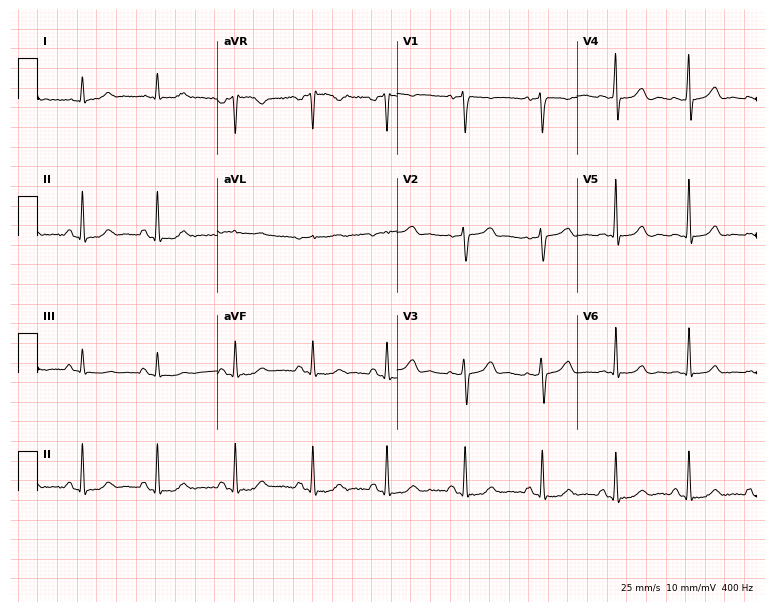
Standard 12-lead ECG recorded from a 57-year-old woman. None of these six findings is recorded: first-degree AV block, right bundle branch block, left bundle branch block, sinus bradycardia, atrial fibrillation, sinus tachycardia.